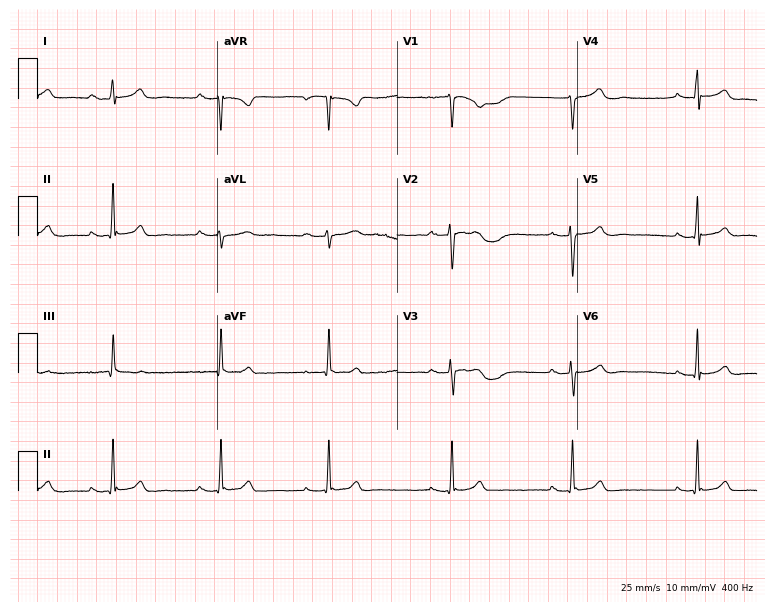
Electrocardiogram (7.3-second recording at 400 Hz), a 23-year-old woman. Of the six screened findings (first-degree AV block, right bundle branch block, left bundle branch block, sinus bradycardia, atrial fibrillation, sinus tachycardia), none is recorded.